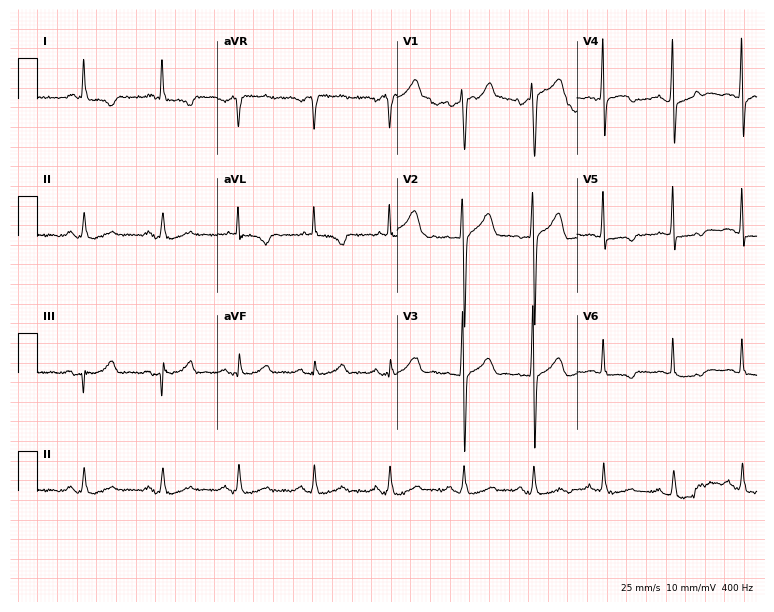
Electrocardiogram, a 73-year-old male patient. Of the six screened findings (first-degree AV block, right bundle branch block, left bundle branch block, sinus bradycardia, atrial fibrillation, sinus tachycardia), none is recorded.